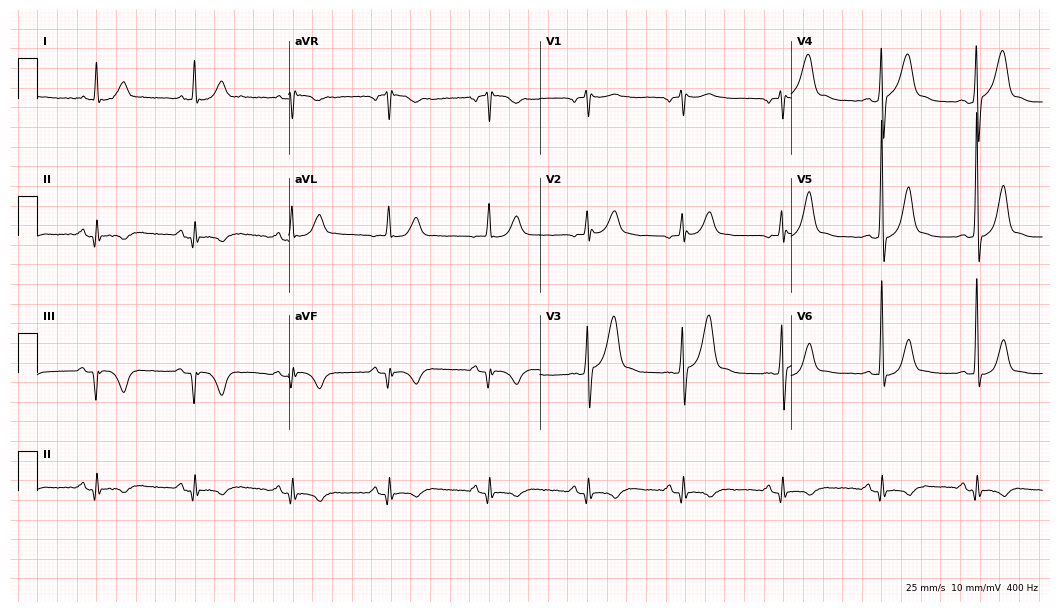
Standard 12-lead ECG recorded from a 41-year-old male. Read as a normal ECG.